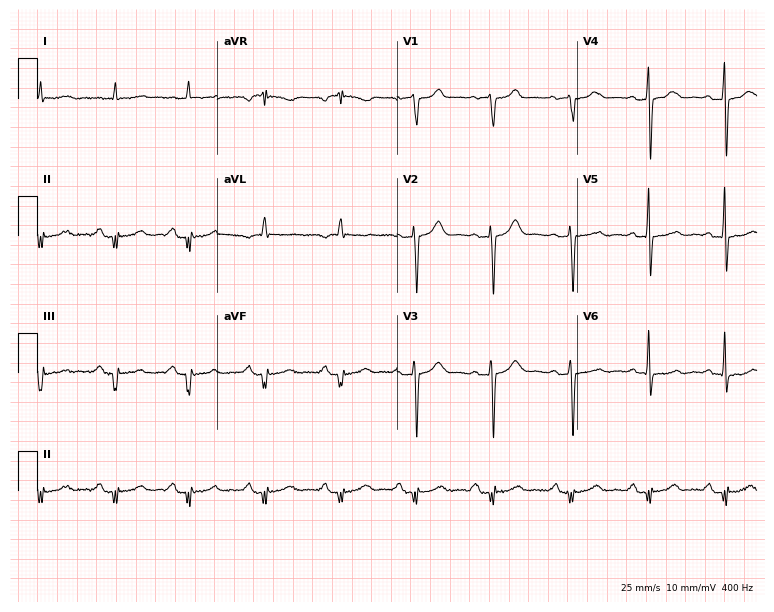
Electrocardiogram, a 73-year-old male. Of the six screened findings (first-degree AV block, right bundle branch block (RBBB), left bundle branch block (LBBB), sinus bradycardia, atrial fibrillation (AF), sinus tachycardia), none is recorded.